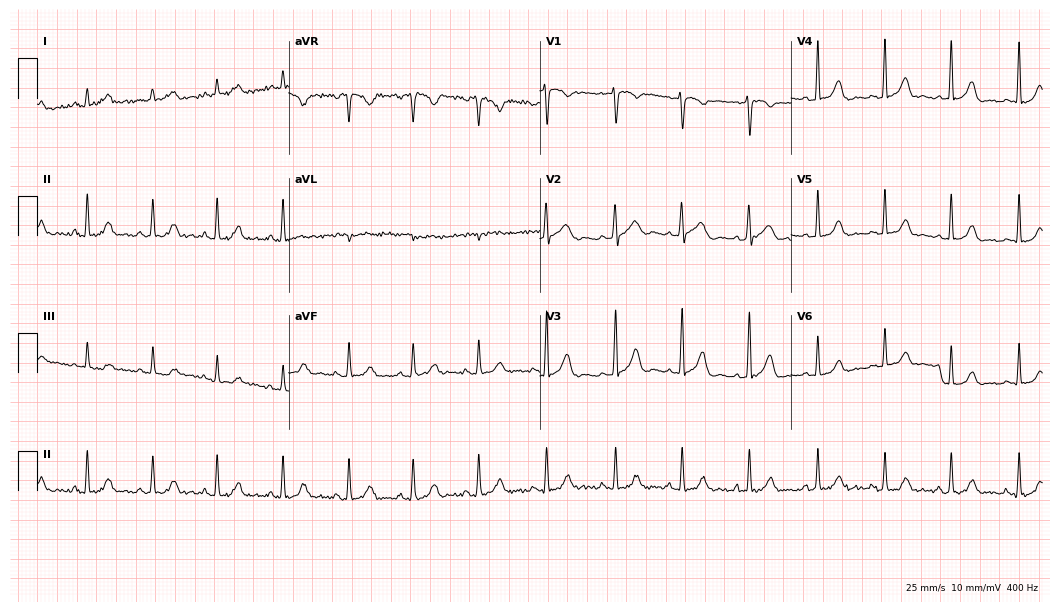
Resting 12-lead electrocardiogram. Patient: a female, 29 years old. Read as a normal ECG.